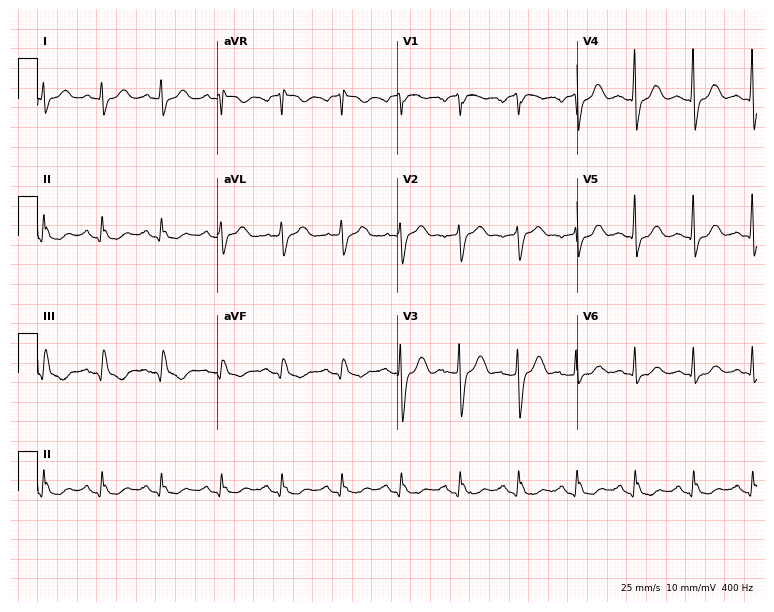
ECG — a man, 61 years old. Screened for six findings — first-degree AV block, right bundle branch block, left bundle branch block, sinus bradycardia, atrial fibrillation, sinus tachycardia — none is recorded. Only these six findings were labelled.